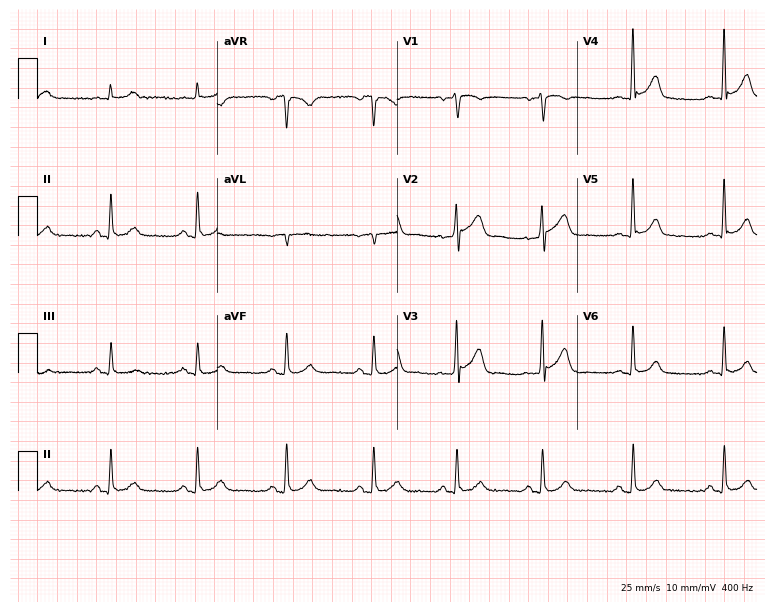
Resting 12-lead electrocardiogram. Patient: a 73-year-old male. None of these six findings is recorded: first-degree AV block, right bundle branch block, left bundle branch block, sinus bradycardia, atrial fibrillation, sinus tachycardia. Only these six findings were labelled.